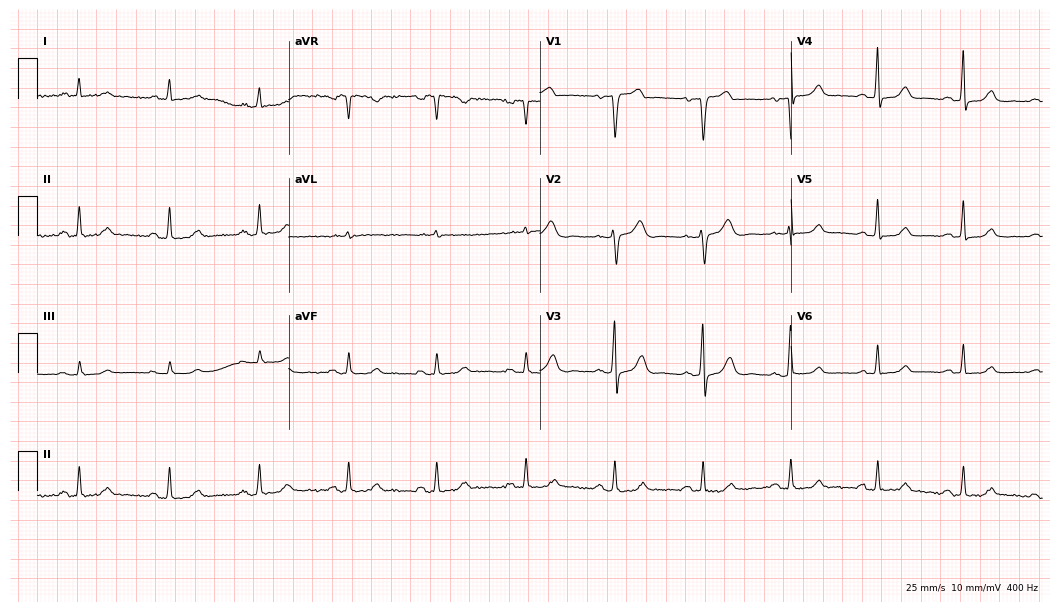
ECG — a woman, 67 years old. Labelled as a normal ECG.